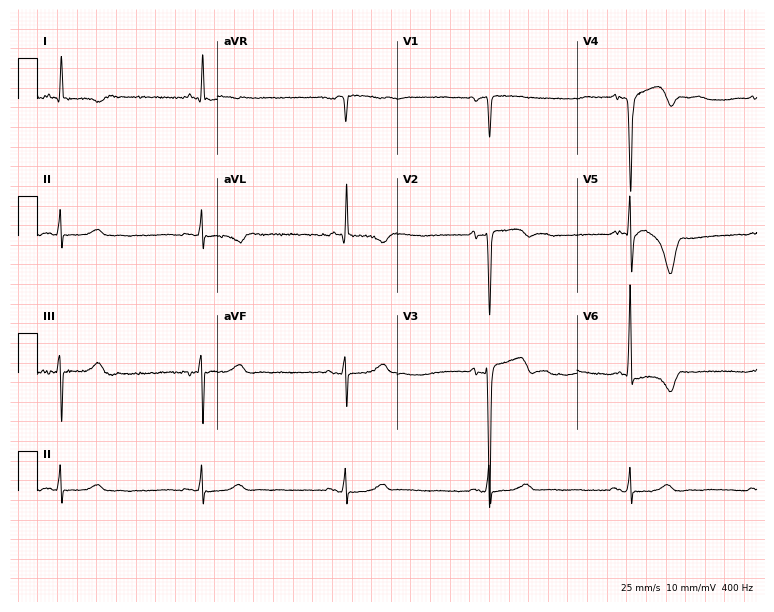
12-lead ECG from a female patient, 86 years old. Shows sinus bradycardia (a sinus rate of 50 beats per minute or less).